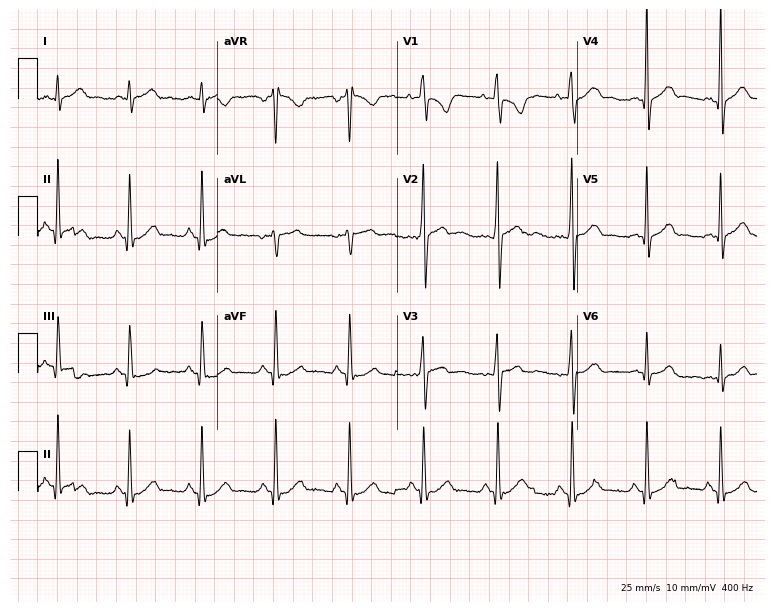
Resting 12-lead electrocardiogram. Patient: a man, 39 years old. Read as a normal ECG.